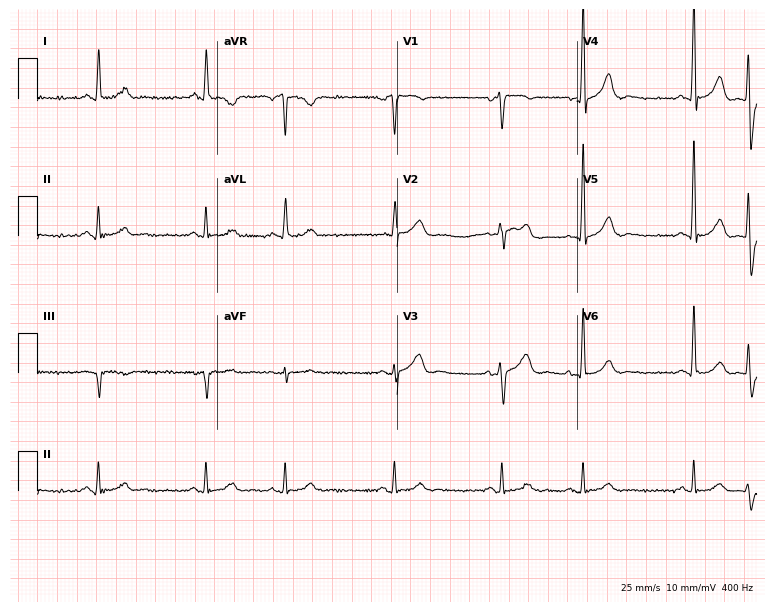
Standard 12-lead ECG recorded from a 68-year-old man (7.3-second recording at 400 Hz). None of these six findings is recorded: first-degree AV block, right bundle branch block, left bundle branch block, sinus bradycardia, atrial fibrillation, sinus tachycardia. Findings outside these six are not listed.